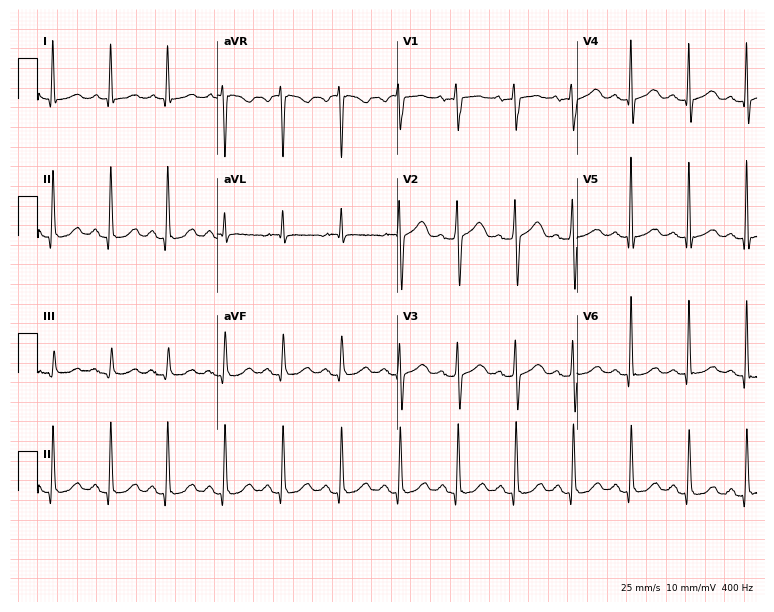
Electrocardiogram (7.3-second recording at 400 Hz), a woman, 60 years old. Of the six screened findings (first-degree AV block, right bundle branch block, left bundle branch block, sinus bradycardia, atrial fibrillation, sinus tachycardia), none is recorded. Findings outside these six are not listed.